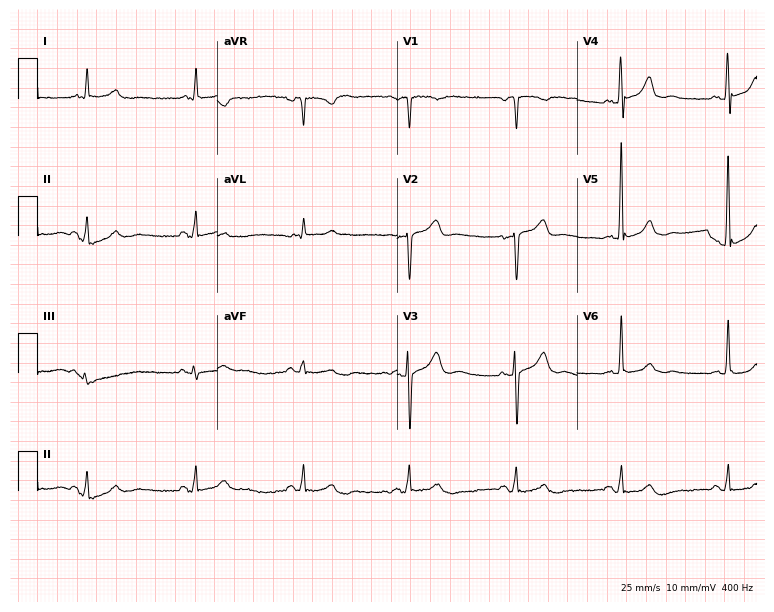
ECG — a 74-year-old male. Labelled as a normal ECG.